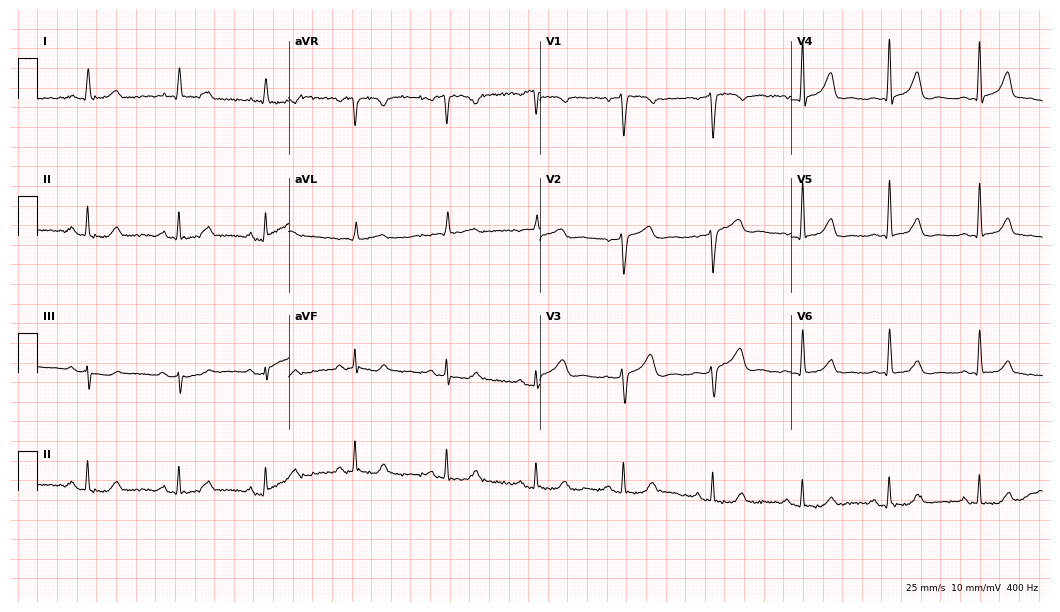
Resting 12-lead electrocardiogram (10.2-second recording at 400 Hz). Patient: a female, 59 years old. Read as a normal ECG.